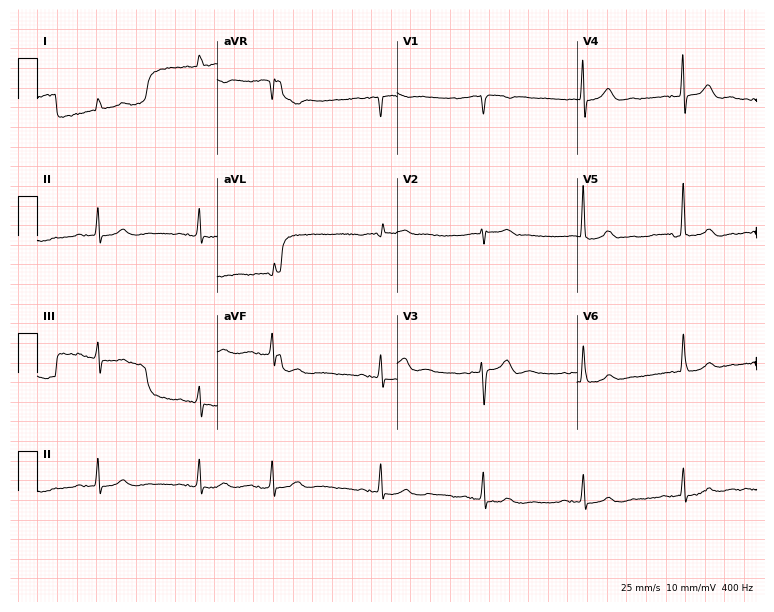
Standard 12-lead ECG recorded from an 83-year-old male (7.3-second recording at 400 Hz). None of these six findings is recorded: first-degree AV block, right bundle branch block, left bundle branch block, sinus bradycardia, atrial fibrillation, sinus tachycardia. Other findings, if any, are not listed.